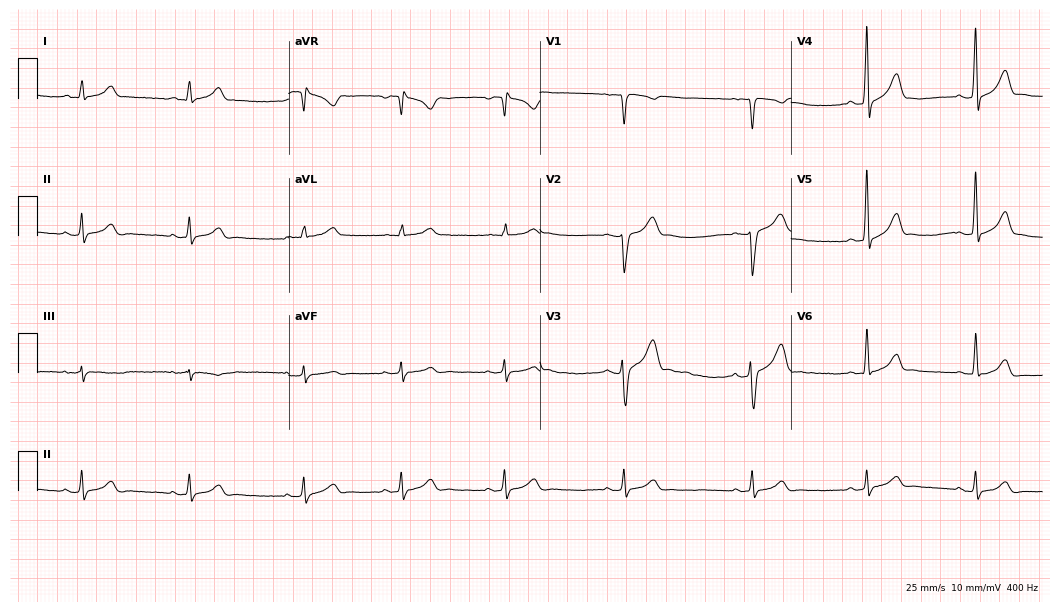
12-lead ECG from a 31-year-old man. Recorded interpretation: within normal limits.